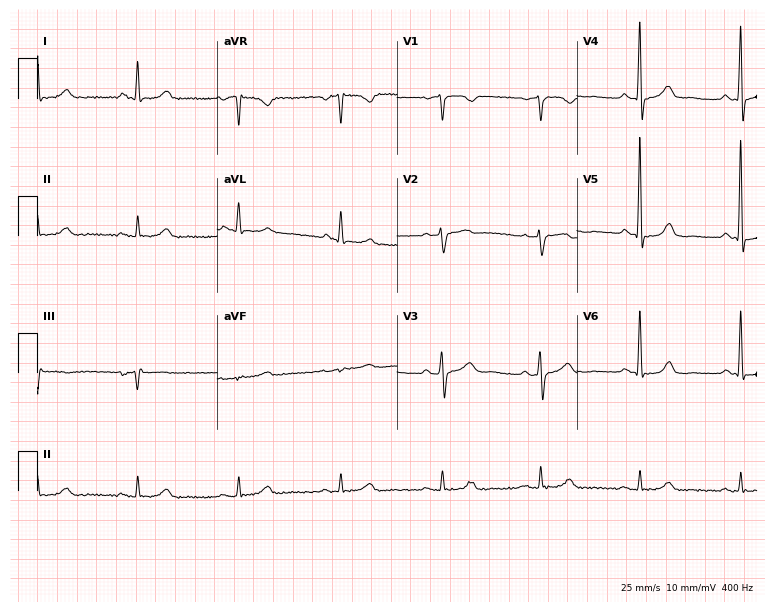
12-lead ECG from a male, 69 years old (7.3-second recording at 400 Hz). No first-degree AV block, right bundle branch block (RBBB), left bundle branch block (LBBB), sinus bradycardia, atrial fibrillation (AF) or sinus tachycardia recorded for this tracing. Findings outside these six are not listed.